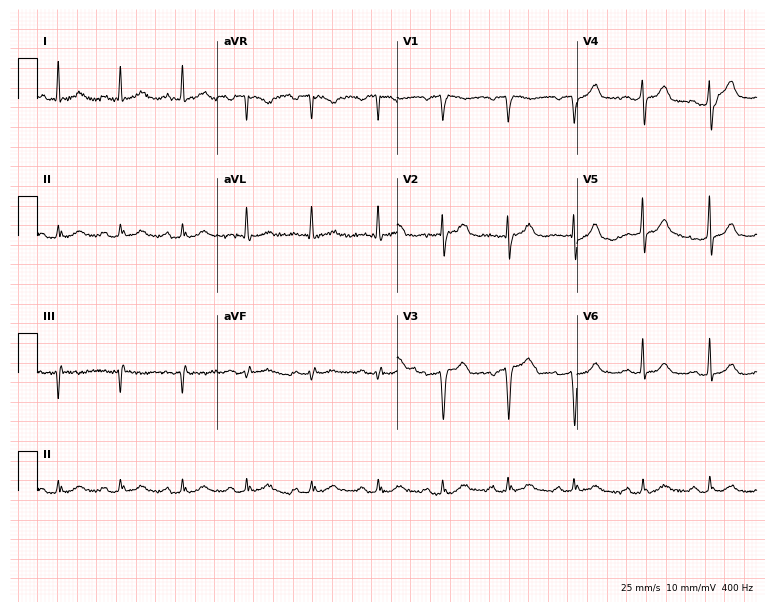
ECG — a male patient, 64 years old. Screened for six findings — first-degree AV block, right bundle branch block (RBBB), left bundle branch block (LBBB), sinus bradycardia, atrial fibrillation (AF), sinus tachycardia — none is recorded. Other findings, if any, are not listed.